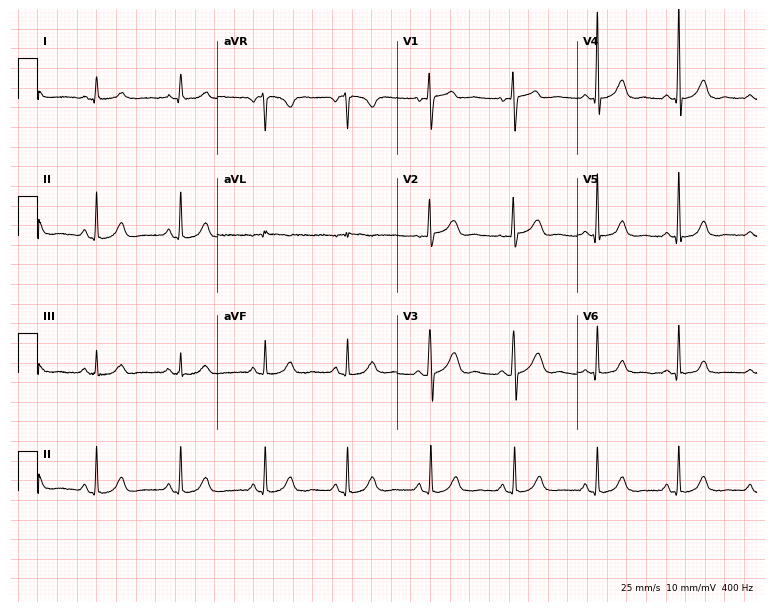
ECG — a 51-year-old female. Labelled as a normal ECG.